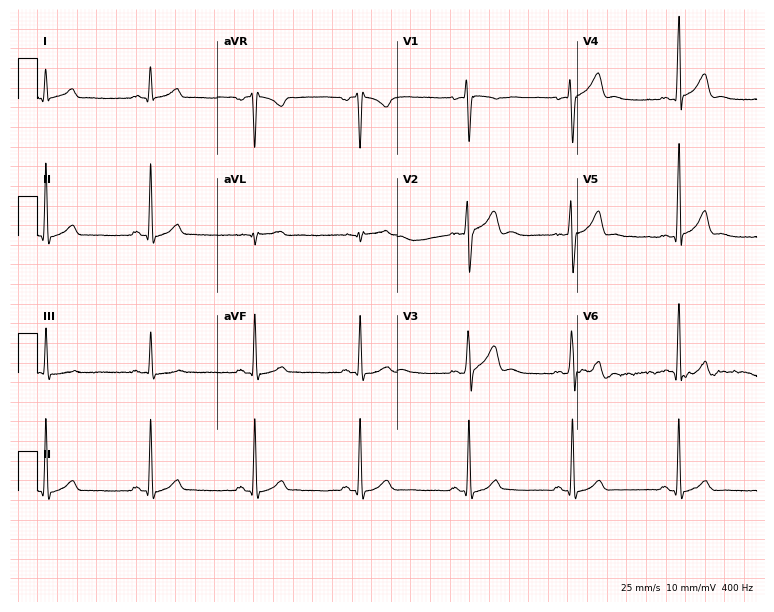
12-lead ECG from a male patient, 22 years old. No first-degree AV block, right bundle branch block, left bundle branch block, sinus bradycardia, atrial fibrillation or sinus tachycardia recorded for this tracing. Only these six findings were labelled.